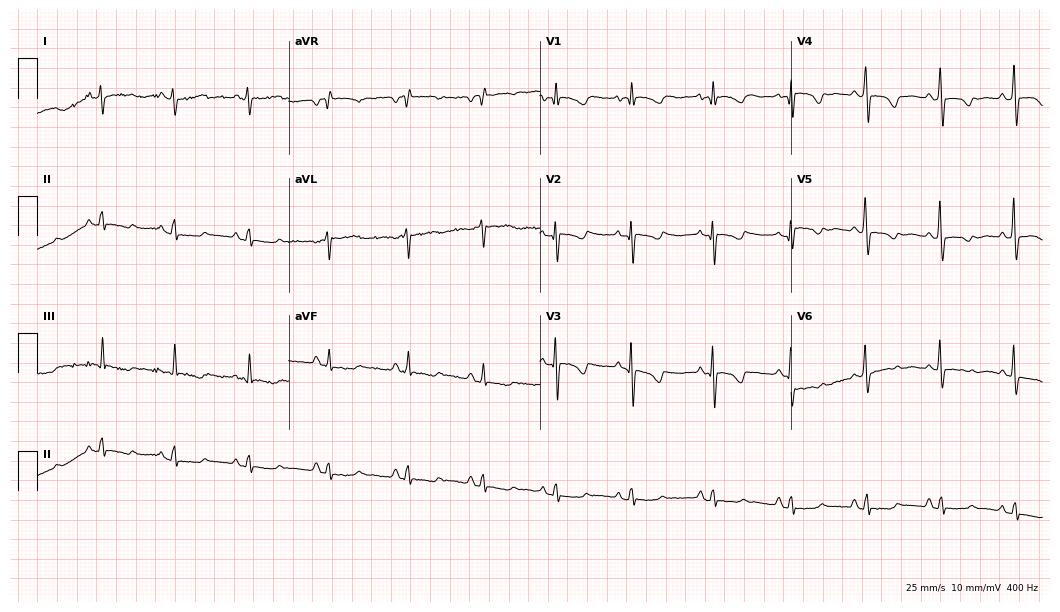
ECG (10.2-second recording at 400 Hz) — a 74-year-old female patient. Labelled as a normal ECG.